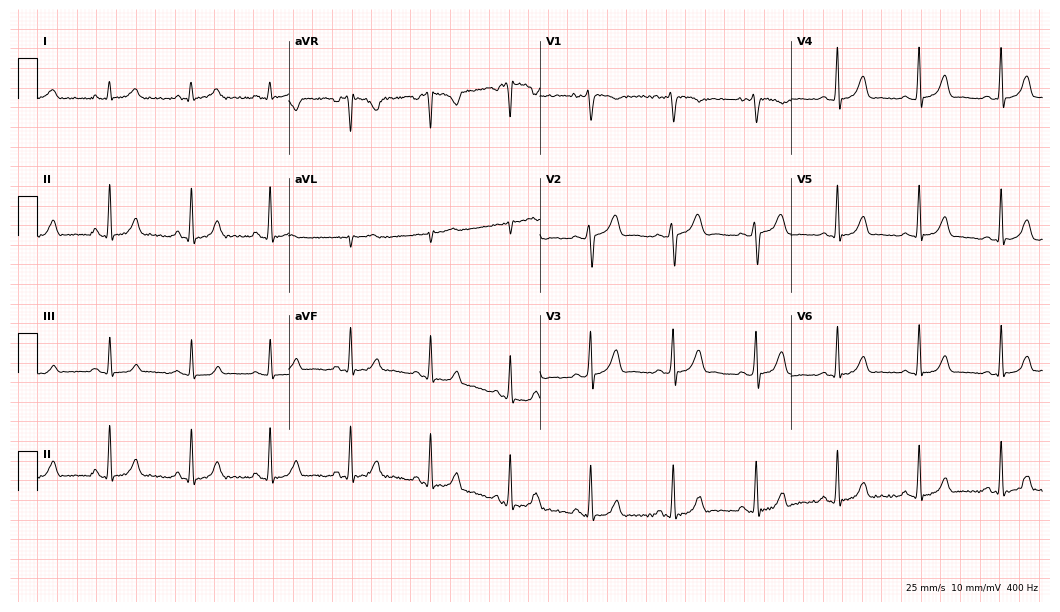
12-lead ECG from a female, 39 years old. Recorded interpretation: within normal limits.